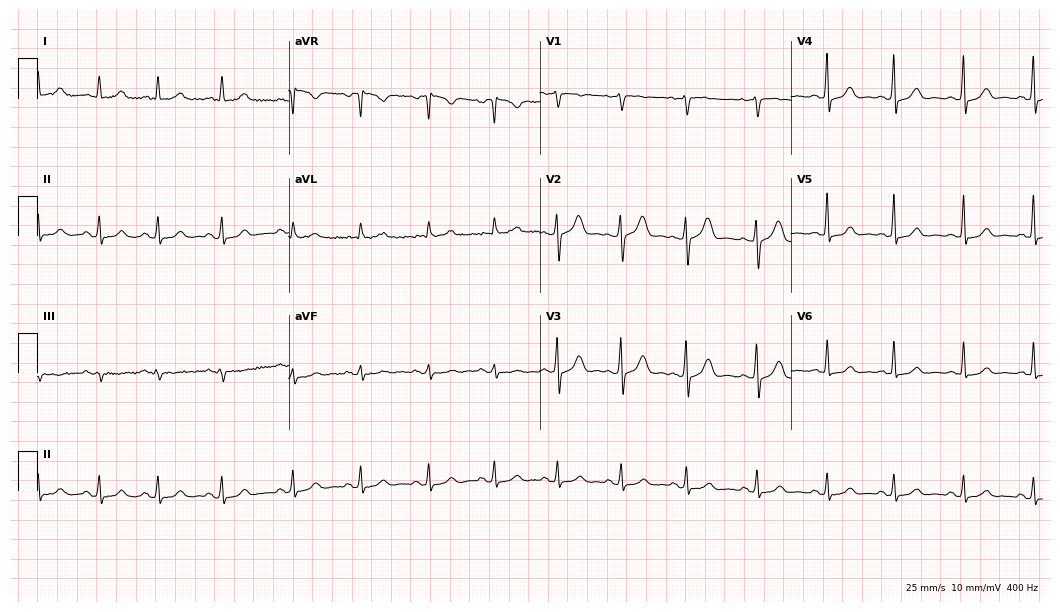
Standard 12-lead ECG recorded from a 48-year-old female patient (10.2-second recording at 400 Hz). None of these six findings is recorded: first-degree AV block, right bundle branch block, left bundle branch block, sinus bradycardia, atrial fibrillation, sinus tachycardia. Findings outside these six are not listed.